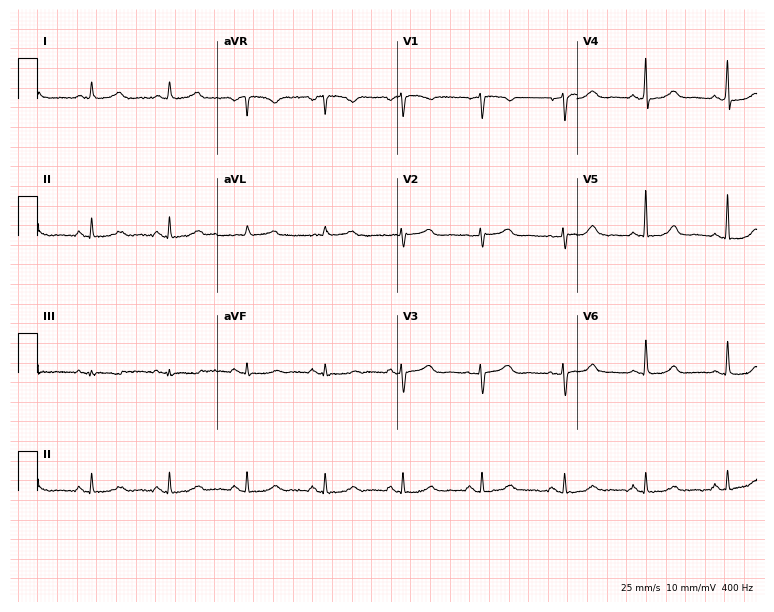
12-lead ECG from a 49-year-old female patient. Recorded interpretation: within normal limits.